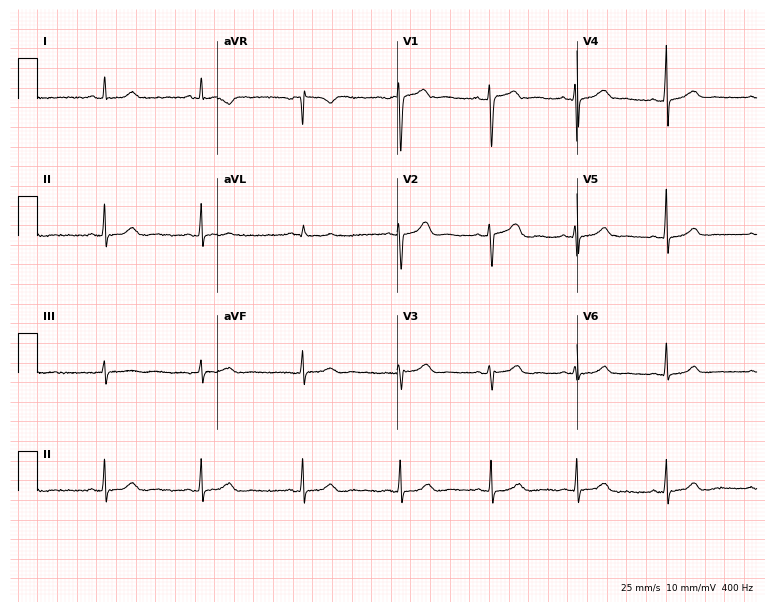
12-lead ECG from a female patient, 30 years old. Labelled as a normal ECG.